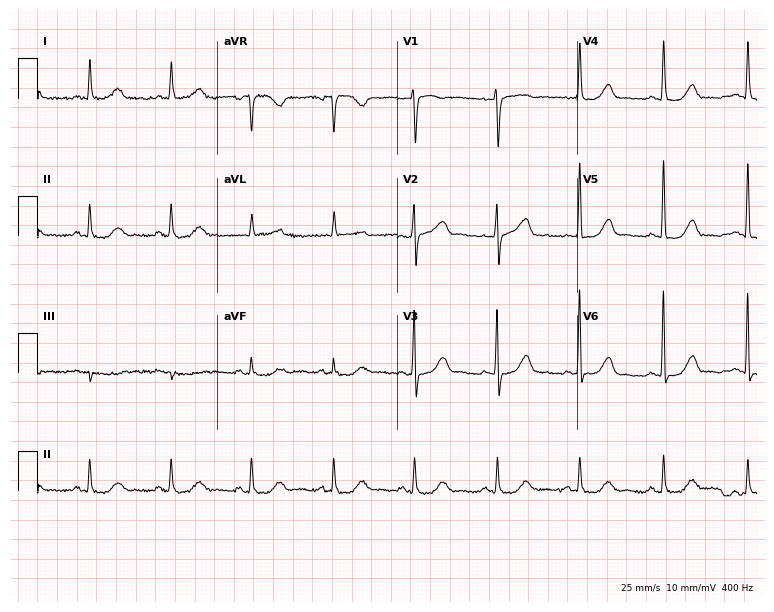
Resting 12-lead electrocardiogram. Patient: an 85-year-old woman. Read as a normal ECG.